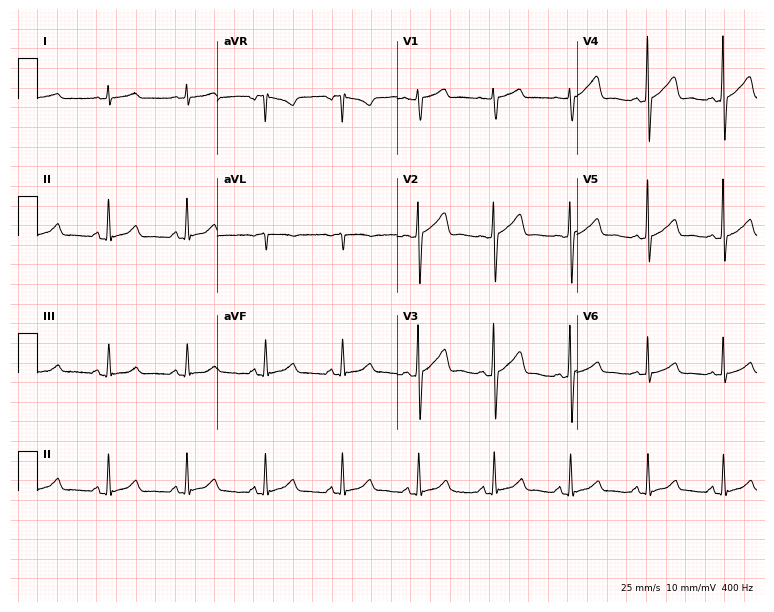
Resting 12-lead electrocardiogram. Patient: a 57-year-old male. Read as a normal ECG.